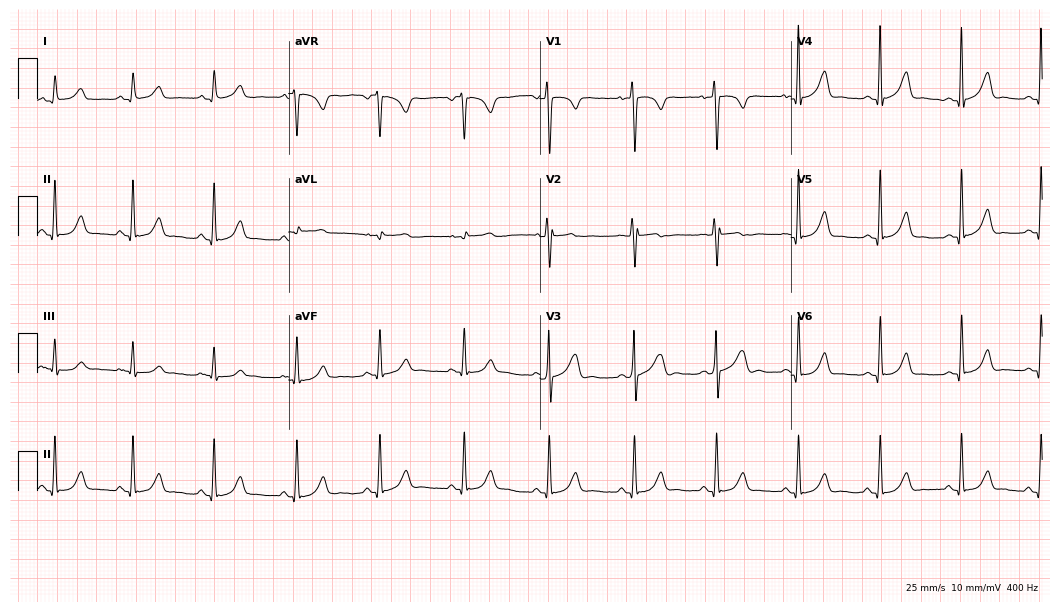
12-lead ECG from a female patient, 40 years old. Labelled as a normal ECG.